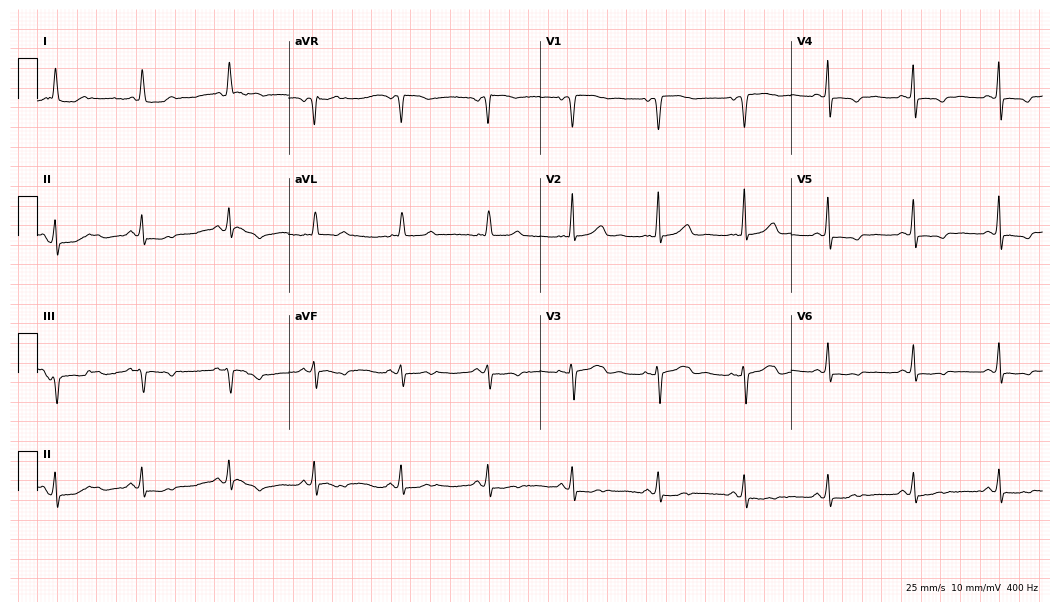
Resting 12-lead electrocardiogram (10.2-second recording at 400 Hz). Patient: a 76-year-old woman. None of these six findings is recorded: first-degree AV block, right bundle branch block, left bundle branch block, sinus bradycardia, atrial fibrillation, sinus tachycardia. Only these six findings were labelled.